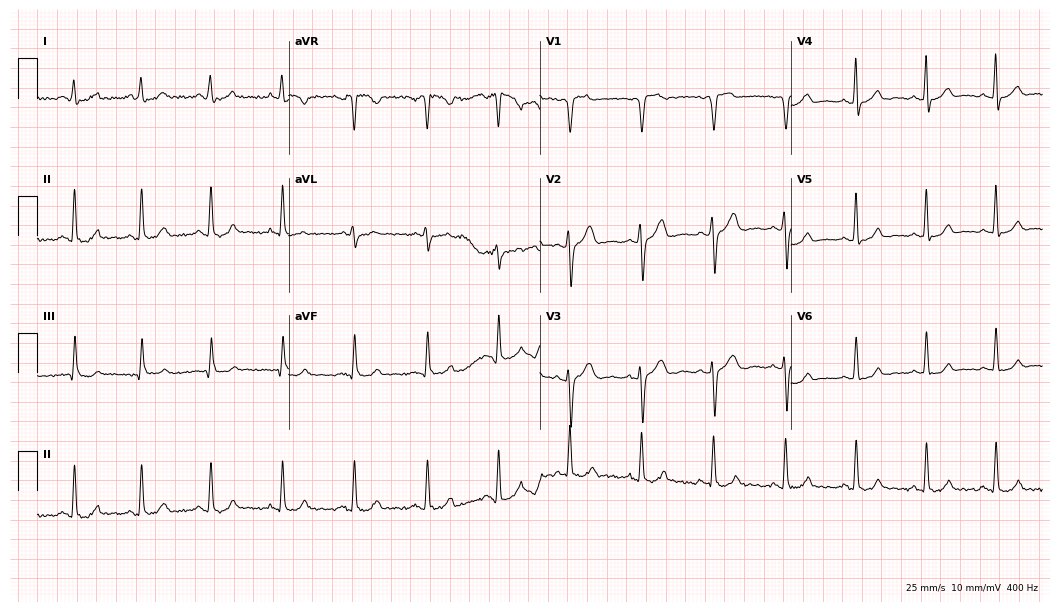
Standard 12-lead ECG recorded from a 32-year-old female patient. None of these six findings is recorded: first-degree AV block, right bundle branch block, left bundle branch block, sinus bradycardia, atrial fibrillation, sinus tachycardia.